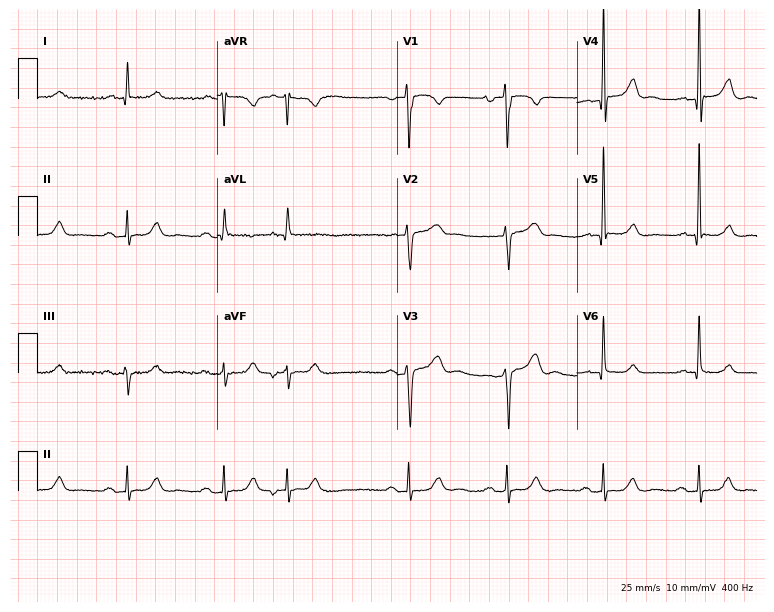
ECG (7.3-second recording at 400 Hz) — an 80-year-old male. Findings include first-degree AV block.